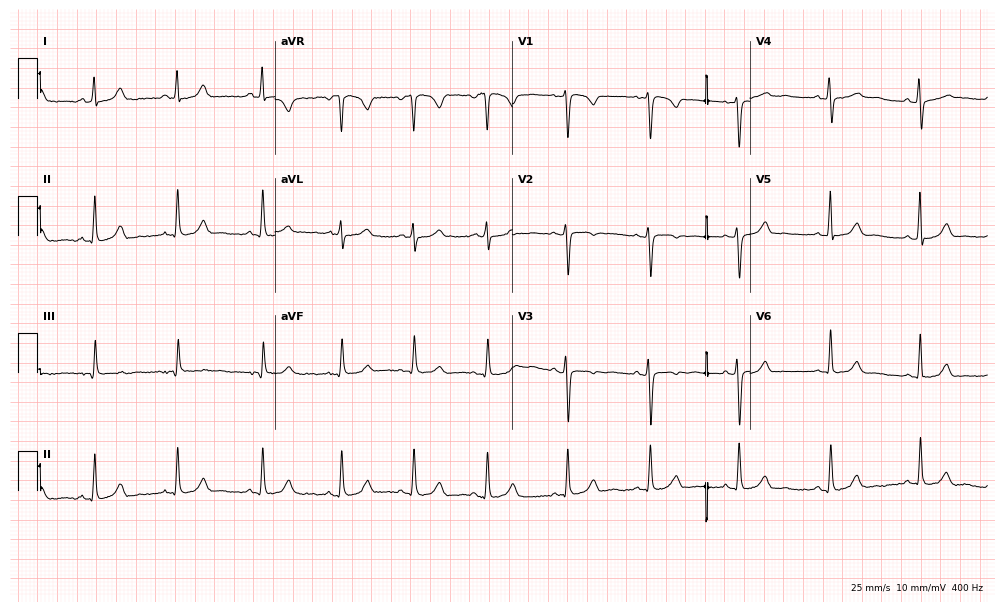
Resting 12-lead electrocardiogram. Patient: a 45-year-old female. None of these six findings is recorded: first-degree AV block, right bundle branch block (RBBB), left bundle branch block (LBBB), sinus bradycardia, atrial fibrillation (AF), sinus tachycardia.